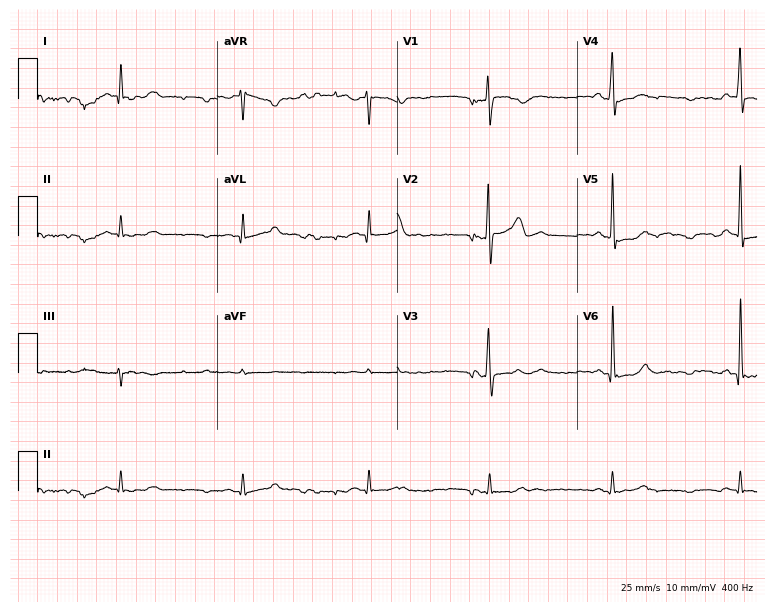
Standard 12-lead ECG recorded from a male patient, 57 years old (7.3-second recording at 400 Hz). The tracing shows sinus bradycardia (a sinus rate of 50 beats per minute or less).